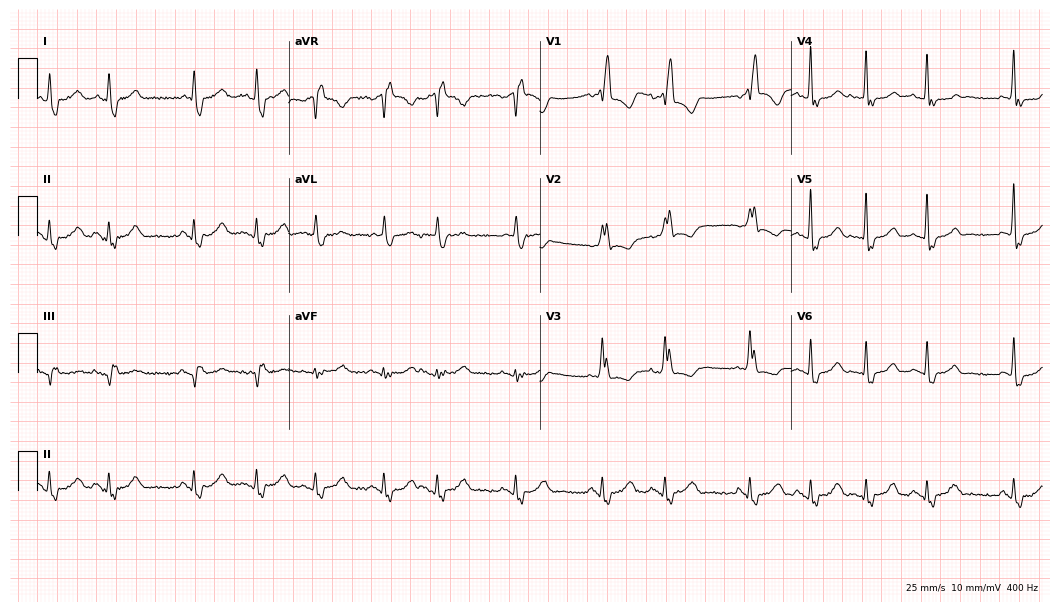
12-lead ECG from a 78-year-old woman. Findings include right bundle branch block.